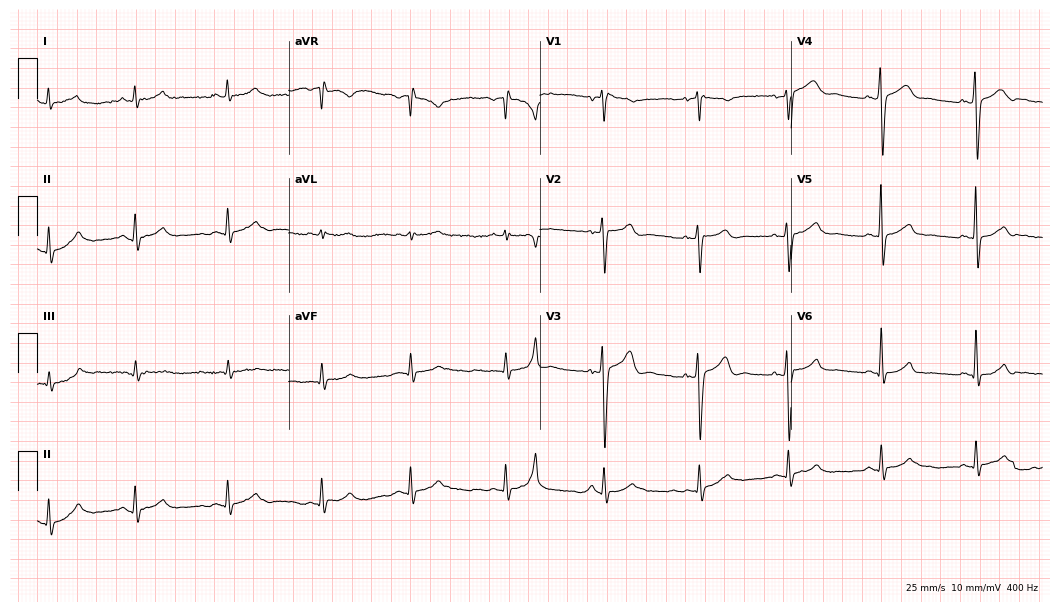
Electrocardiogram (10.2-second recording at 400 Hz), a male patient, 22 years old. Overall reading on record: normal ECG.